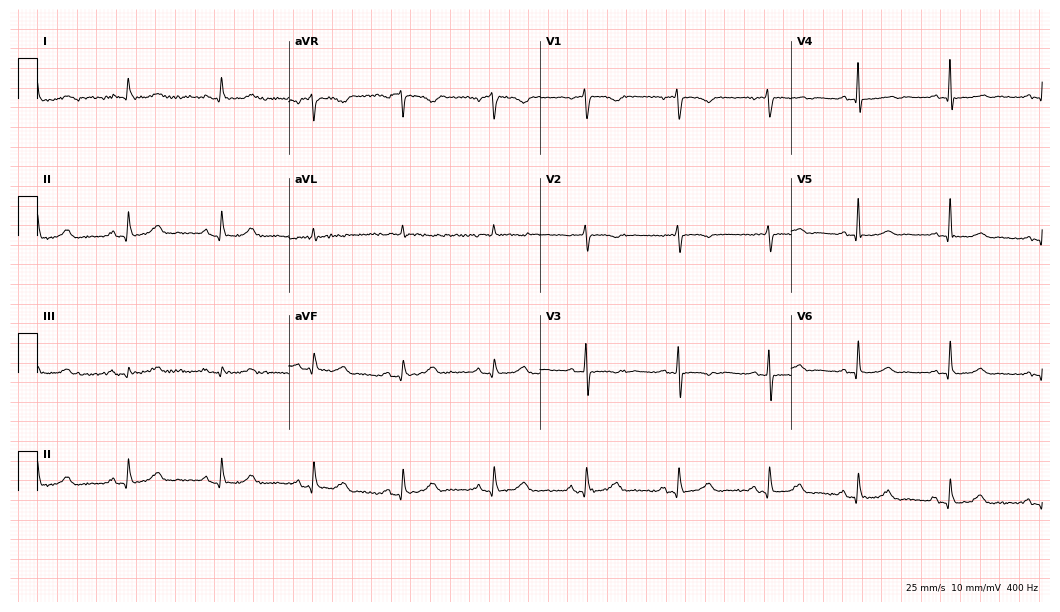
Electrocardiogram, a female, 67 years old. Of the six screened findings (first-degree AV block, right bundle branch block, left bundle branch block, sinus bradycardia, atrial fibrillation, sinus tachycardia), none is recorded. Findings outside these six are not listed.